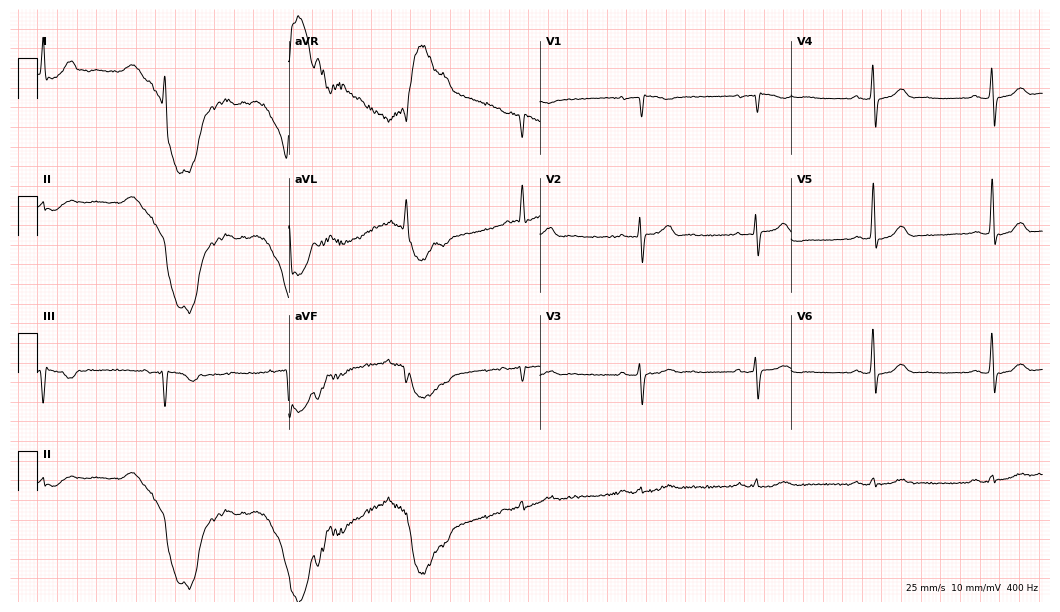
Electrocardiogram (10.2-second recording at 400 Hz), a male, 87 years old. Of the six screened findings (first-degree AV block, right bundle branch block, left bundle branch block, sinus bradycardia, atrial fibrillation, sinus tachycardia), none is recorded. Other findings, if any, are not listed.